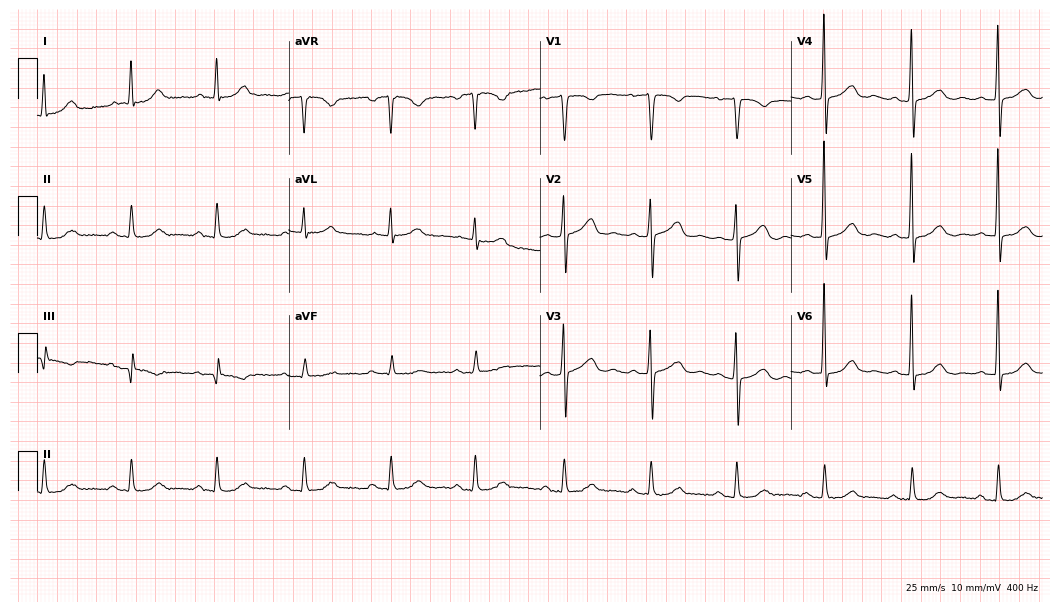
ECG — a woman, 81 years old. Labelled as a normal ECG.